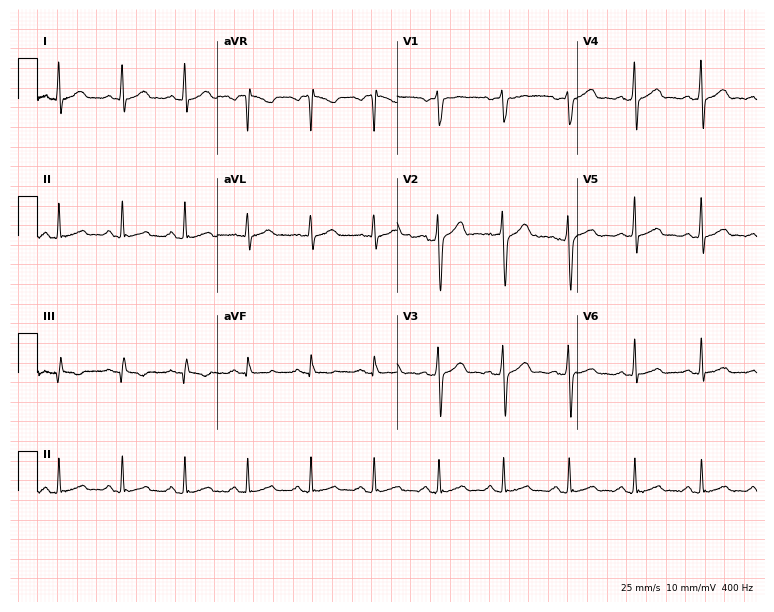
ECG — a male patient, 40 years old. Screened for six findings — first-degree AV block, right bundle branch block (RBBB), left bundle branch block (LBBB), sinus bradycardia, atrial fibrillation (AF), sinus tachycardia — none is recorded.